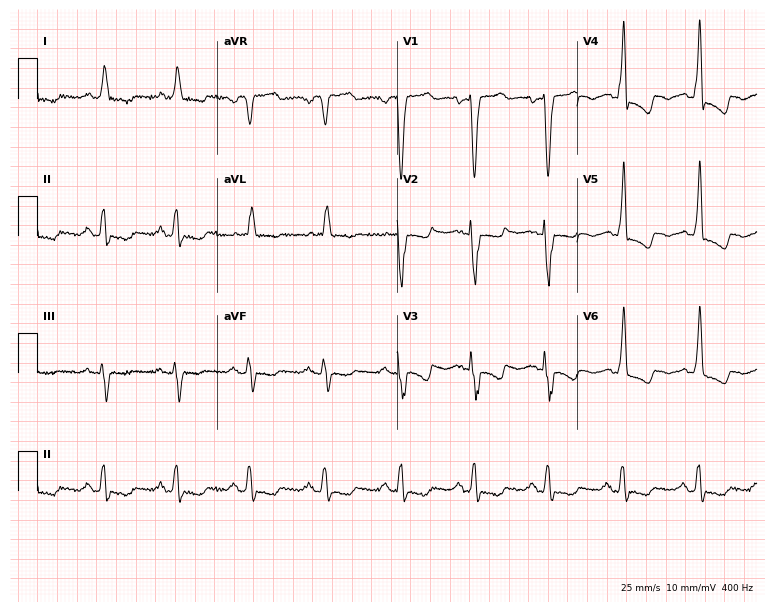
ECG — a 70-year-old woman. Findings include left bundle branch block.